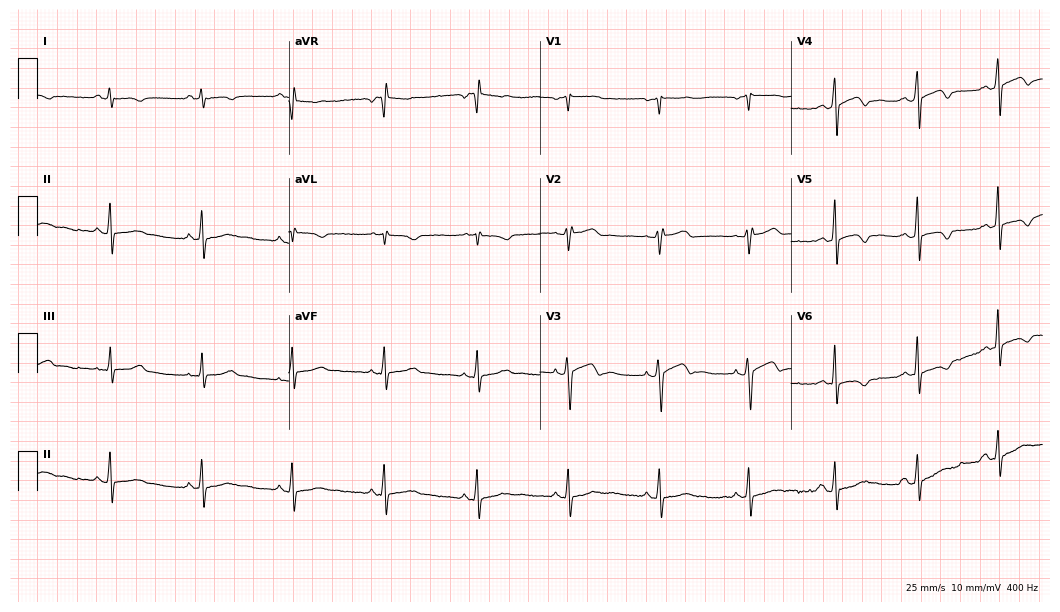
12-lead ECG from a 52-year-old female patient. Screened for six findings — first-degree AV block, right bundle branch block, left bundle branch block, sinus bradycardia, atrial fibrillation, sinus tachycardia — none is recorded. Only these six findings were labelled.